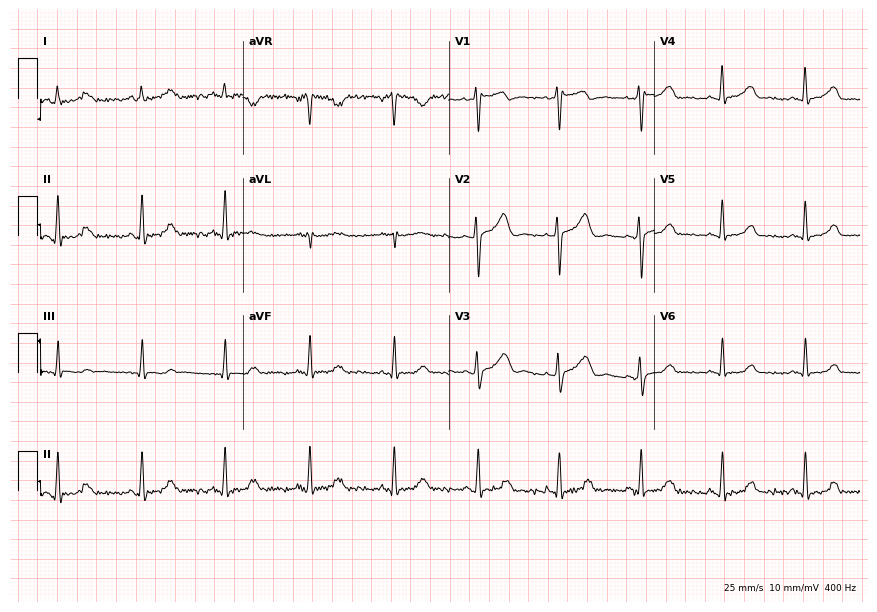
Resting 12-lead electrocardiogram (8.4-second recording at 400 Hz). Patient: a 58-year-old female. Read as a normal ECG.